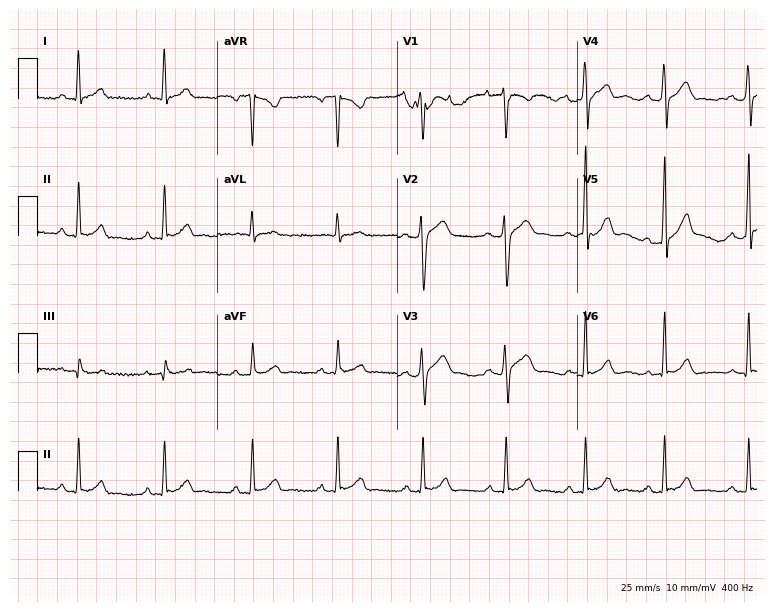
ECG — a man, 25 years old. Screened for six findings — first-degree AV block, right bundle branch block, left bundle branch block, sinus bradycardia, atrial fibrillation, sinus tachycardia — none is recorded.